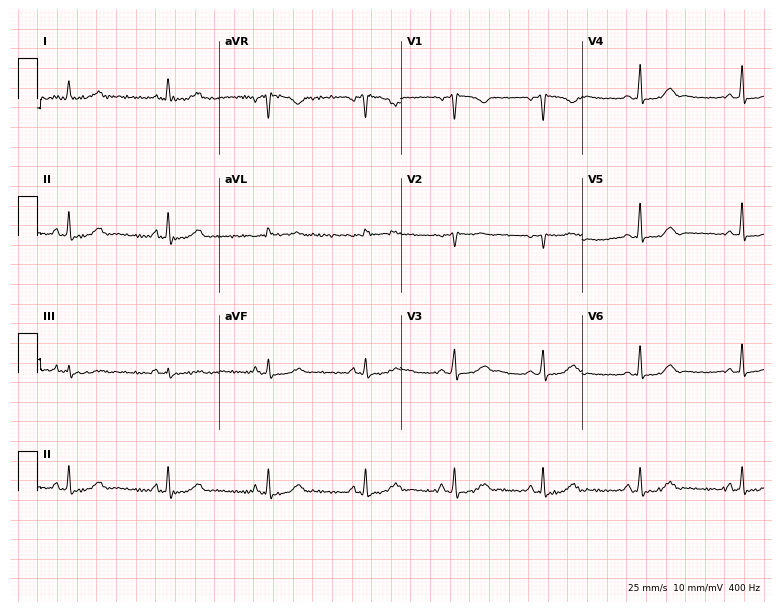
Resting 12-lead electrocardiogram. Patient: a 40-year-old female. None of these six findings is recorded: first-degree AV block, right bundle branch block, left bundle branch block, sinus bradycardia, atrial fibrillation, sinus tachycardia. Findings outside these six are not listed.